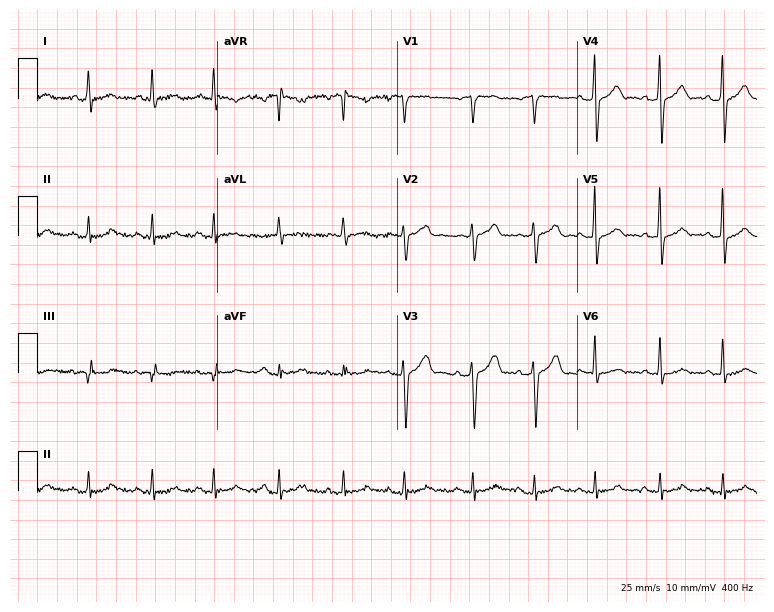
12-lead ECG from a man, 67 years old. Labelled as a normal ECG.